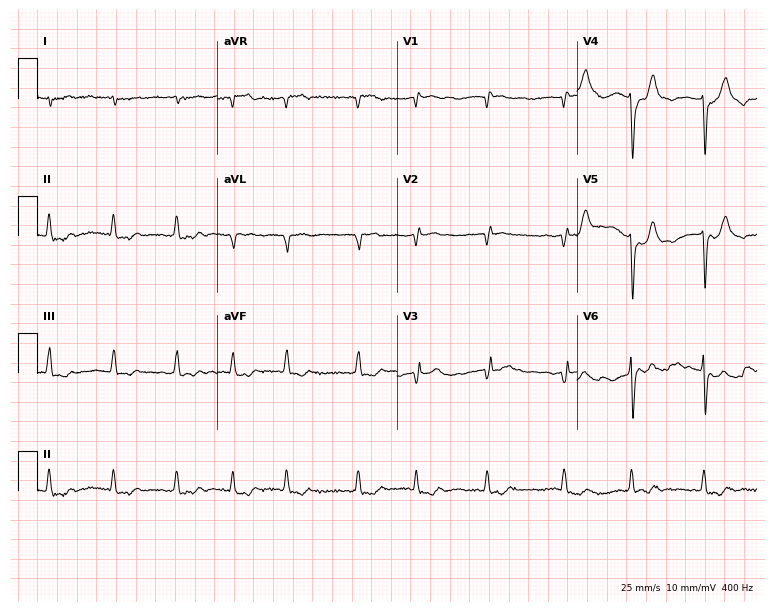
12-lead ECG from a 69-year-old woman. Shows atrial fibrillation (AF).